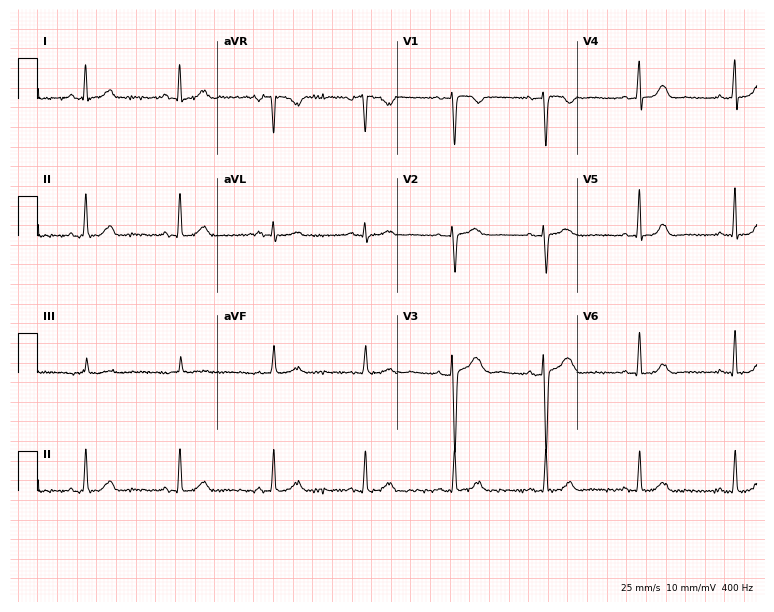
12-lead ECG from a 45-year-old female (7.3-second recording at 400 Hz). Recorded interpretation: within normal limits.